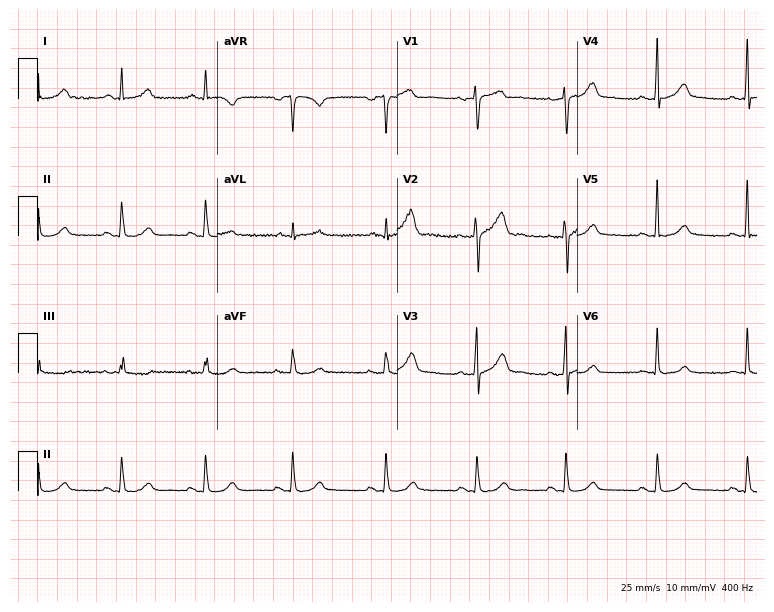
12-lead ECG (7.3-second recording at 400 Hz) from a 40-year-old man. Labelled as a normal ECG.